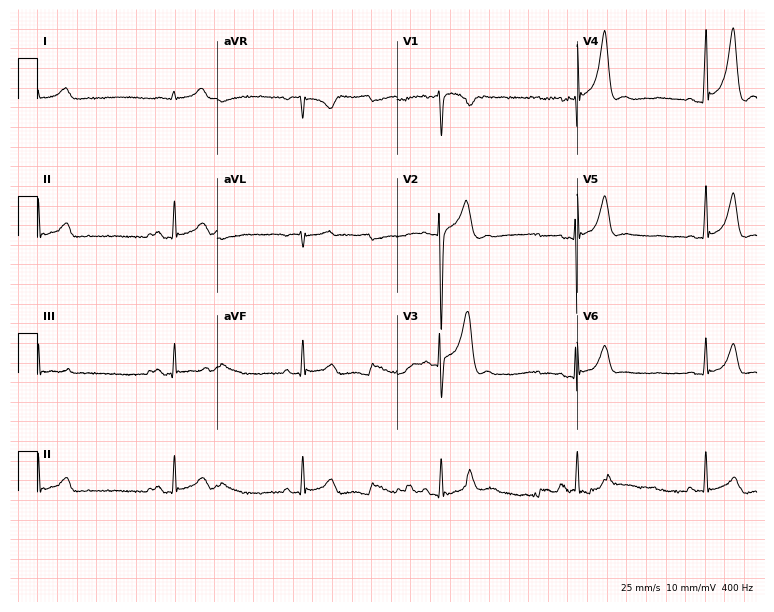
ECG — a 23-year-old male. Findings include sinus bradycardia (a sinus rate of 50 beats per minute or less).